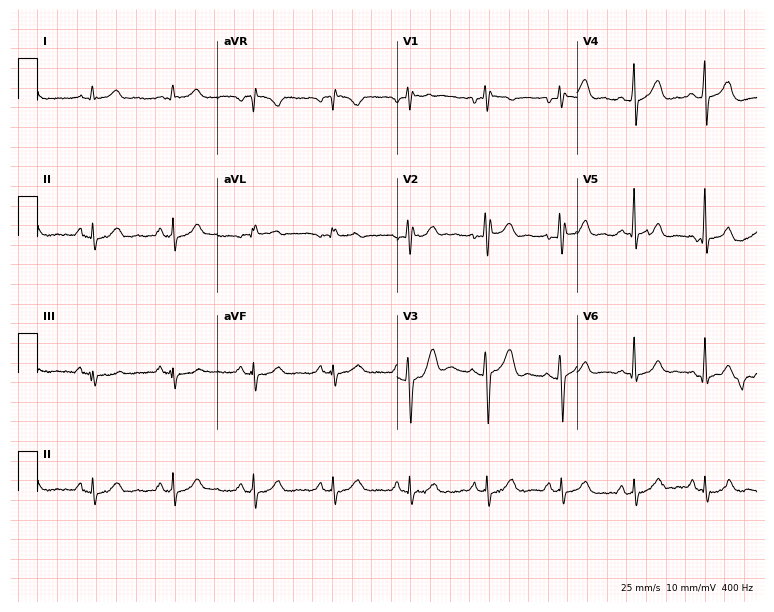
Standard 12-lead ECG recorded from a 49-year-old male patient (7.3-second recording at 400 Hz). None of these six findings is recorded: first-degree AV block, right bundle branch block, left bundle branch block, sinus bradycardia, atrial fibrillation, sinus tachycardia.